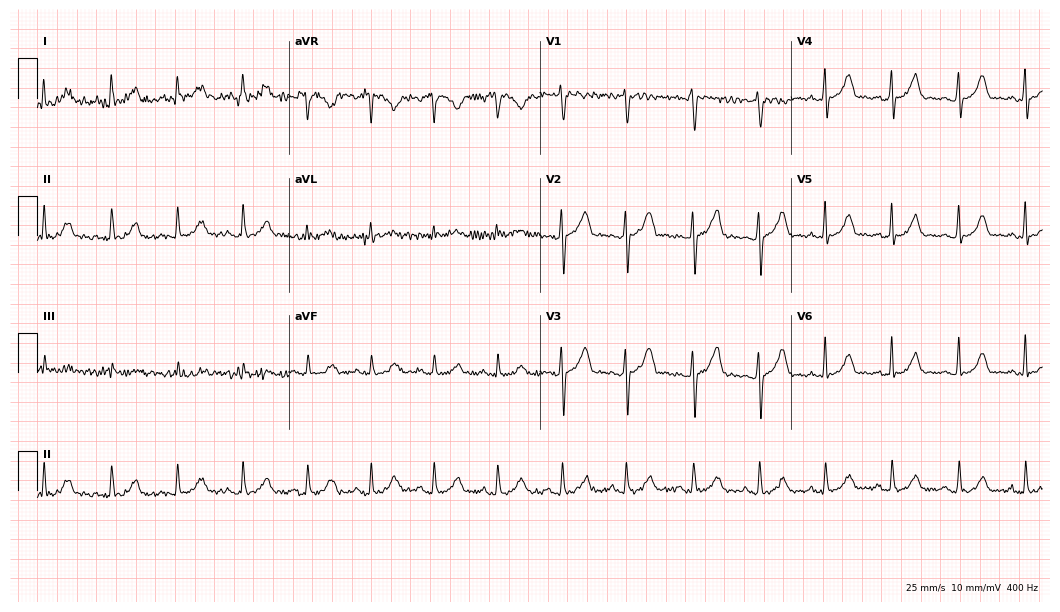
12-lead ECG from a female, 24 years old. Recorded interpretation: within normal limits.